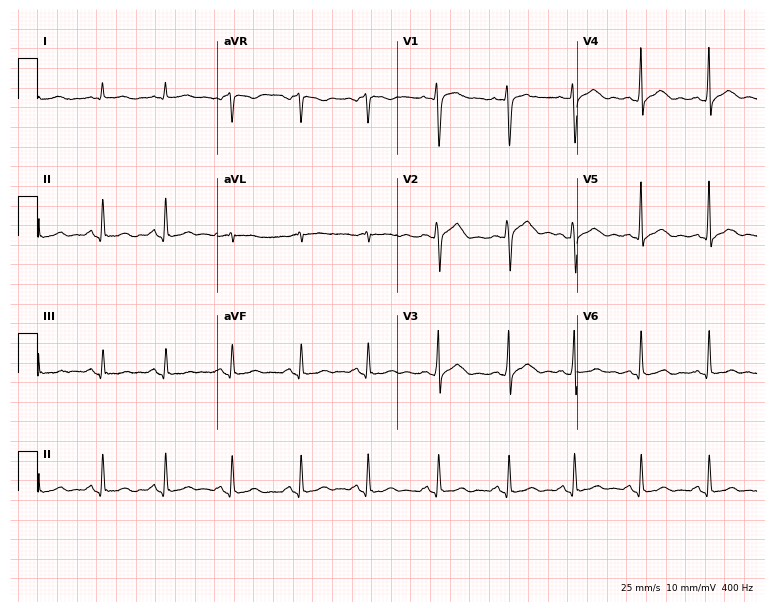
Electrocardiogram, a 35-year-old male. Of the six screened findings (first-degree AV block, right bundle branch block, left bundle branch block, sinus bradycardia, atrial fibrillation, sinus tachycardia), none is recorded.